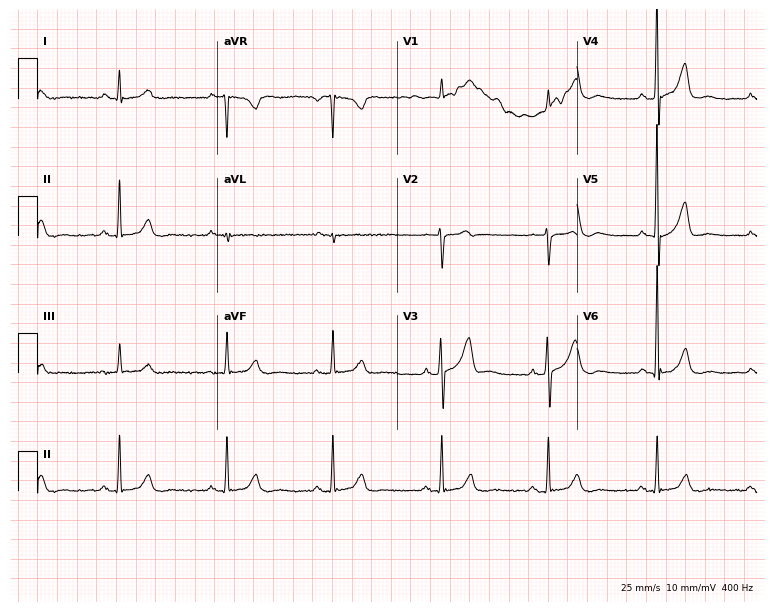
Standard 12-lead ECG recorded from a 55-year-old male patient. Read as a normal ECG.